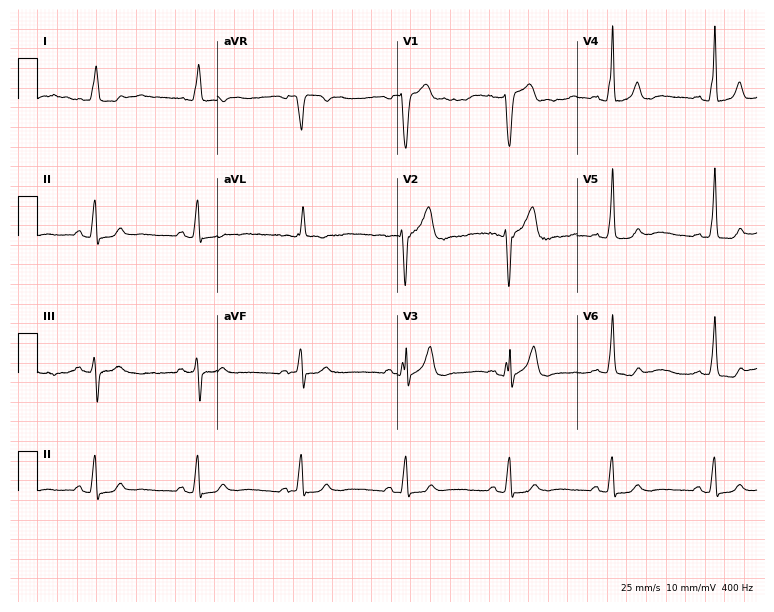
Electrocardiogram, a male, 80 years old. Of the six screened findings (first-degree AV block, right bundle branch block, left bundle branch block, sinus bradycardia, atrial fibrillation, sinus tachycardia), none is recorded.